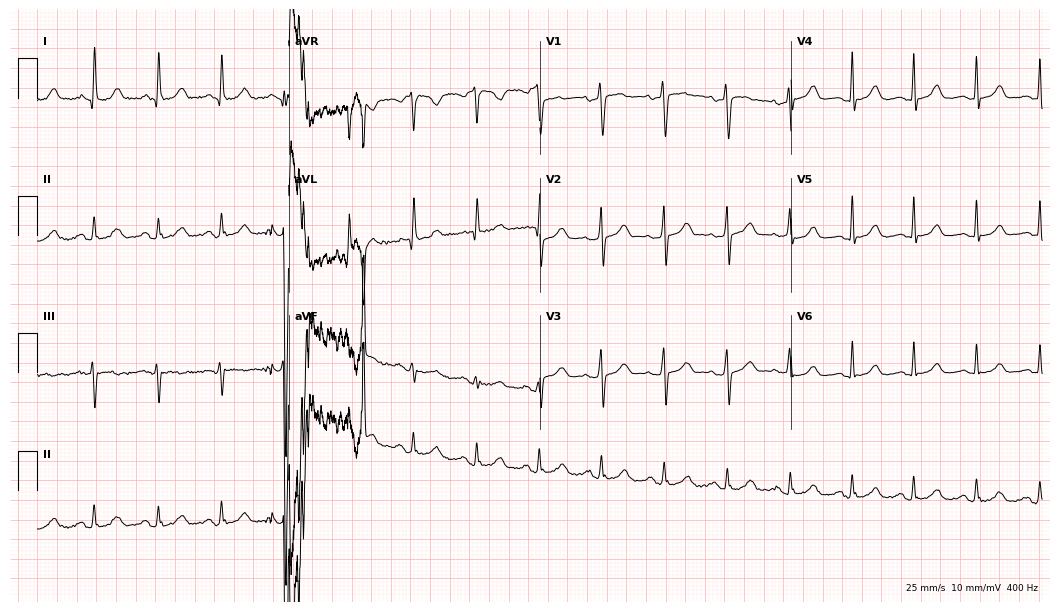
Electrocardiogram, a woman, 54 years old. Overall reading on record: normal ECG.